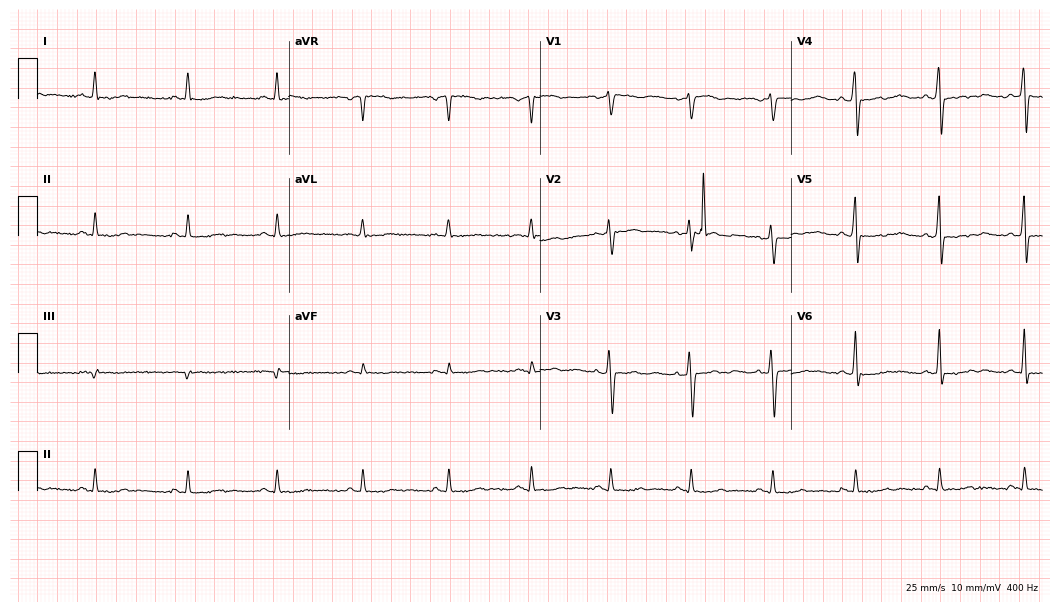
12-lead ECG from a male, 46 years old. Screened for six findings — first-degree AV block, right bundle branch block, left bundle branch block, sinus bradycardia, atrial fibrillation, sinus tachycardia — none is recorded.